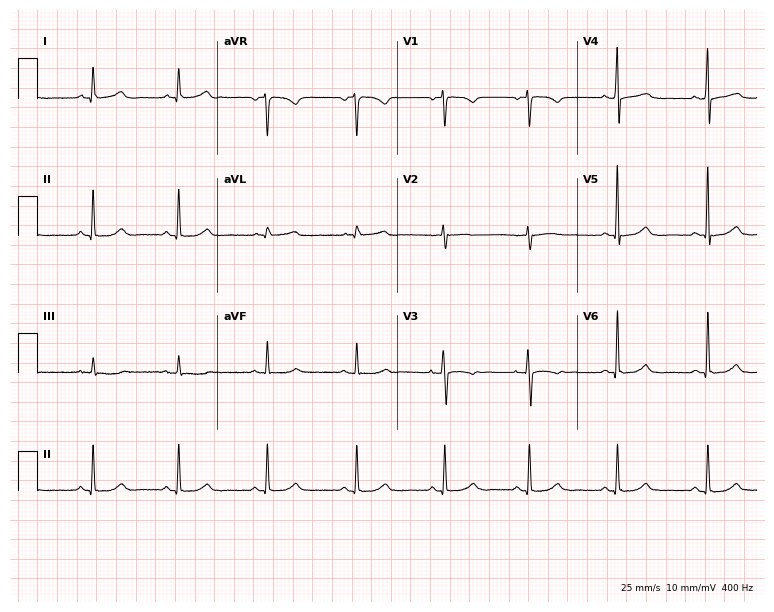
12-lead ECG from a female, 65 years old. No first-degree AV block, right bundle branch block, left bundle branch block, sinus bradycardia, atrial fibrillation or sinus tachycardia recorded for this tracing.